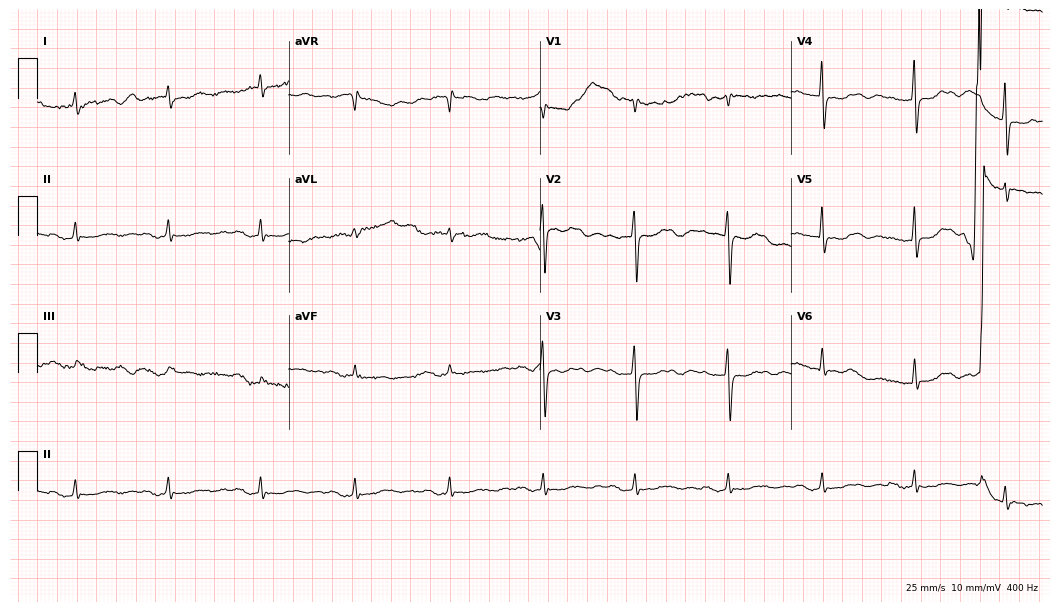
ECG — a 74-year-old female. Screened for six findings — first-degree AV block, right bundle branch block (RBBB), left bundle branch block (LBBB), sinus bradycardia, atrial fibrillation (AF), sinus tachycardia — none is recorded. Findings outside these six are not listed.